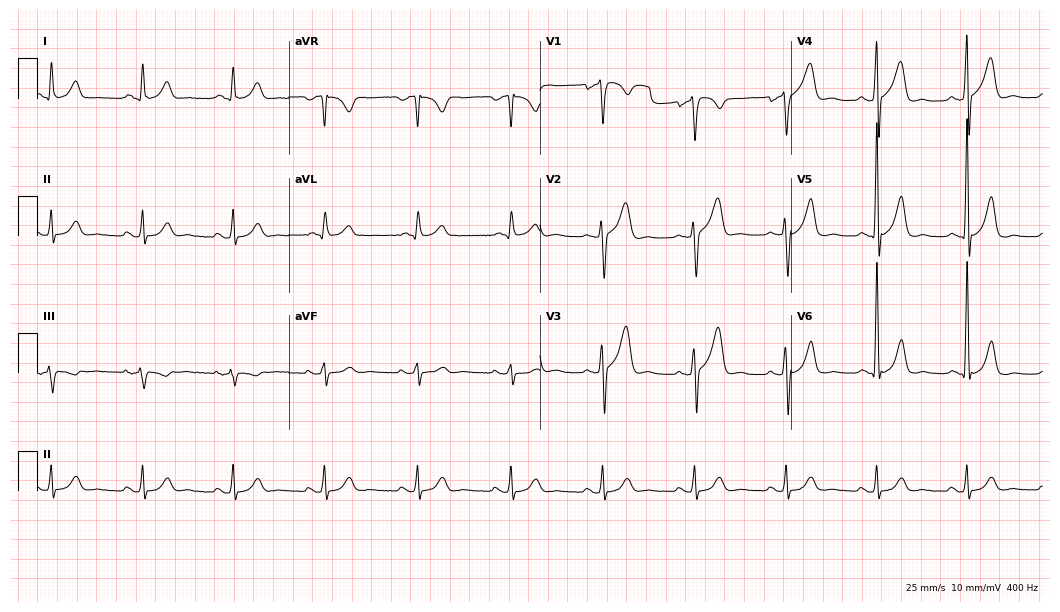
12-lead ECG (10.2-second recording at 400 Hz) from a male patient, 54 years old. Labelled as a normal ECG.